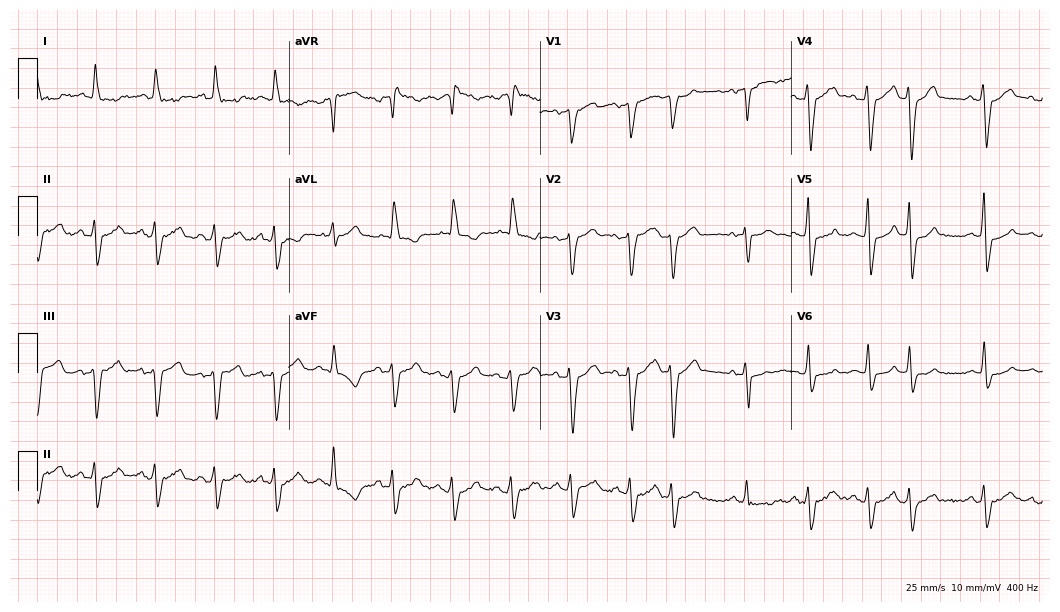
Standard 12-lead ECG recorded from an 84-year-old man (10.2-second recording at 400 Hz). The tracing shows left bundle branch block, sinus tachycardia (a sinus rate of 100 beats per minute or more).